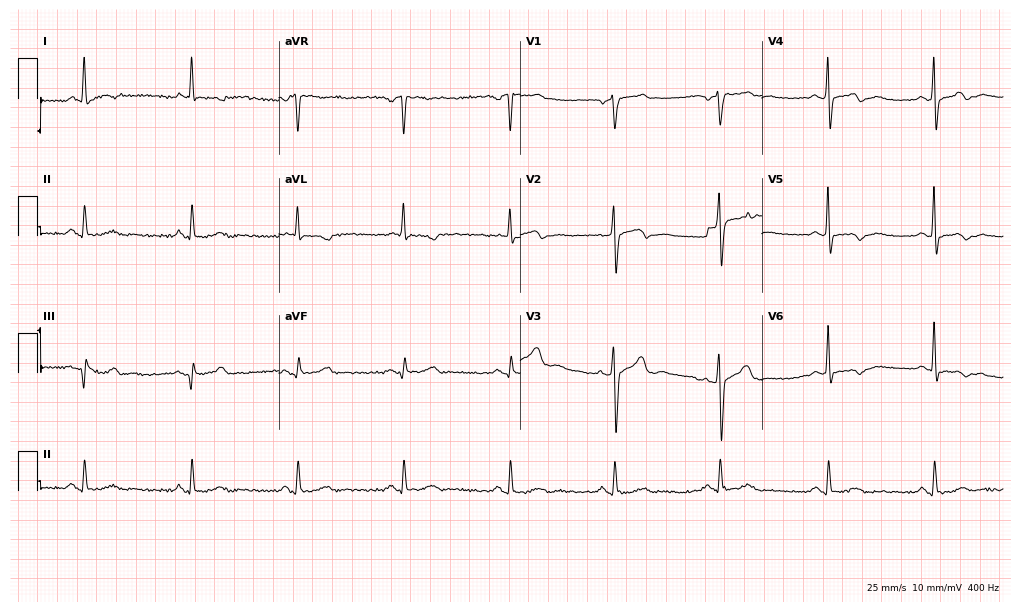
ECG (9.8-second recording at 400 Hz) — a 61-year-old male. Screened for six findings — first-degree AV block, right bundle branch block (RBBB), left bundle branch block (LBBB), sinus bradycardia, atrial fibrillation (AF), sinus tachycardia — none is recorded. Other findings, if any, are not listed.